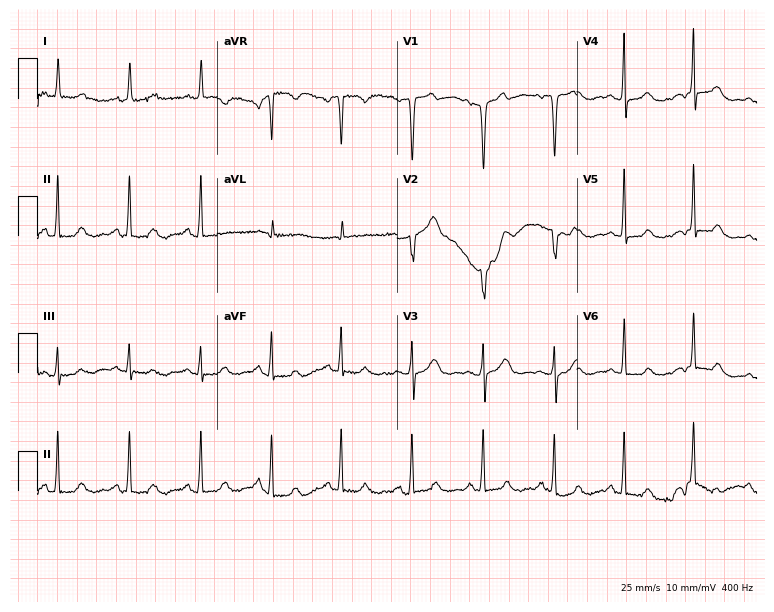
Electrocardiogram (7.3-second recording at 400 Hz), a 59-year-old female. Overall reading on record: normal ECG.